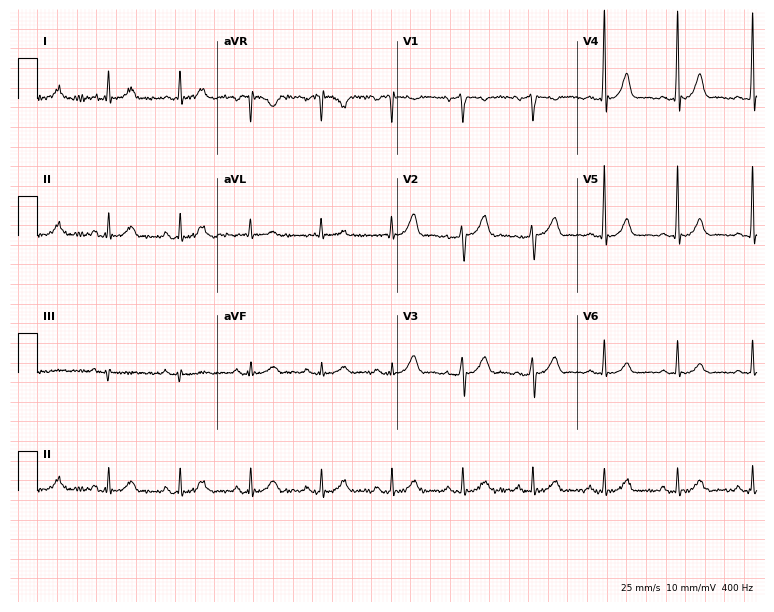
12-lead ECG (7.3-second recording at 400 Hz) from a 48-year-old male patient. Screened for six findings — first-degree AV block, right bundle branch block, left bundle branch block, sinus bradycardia, atrial fibrillation, sinus tachycardia — none is recorded.